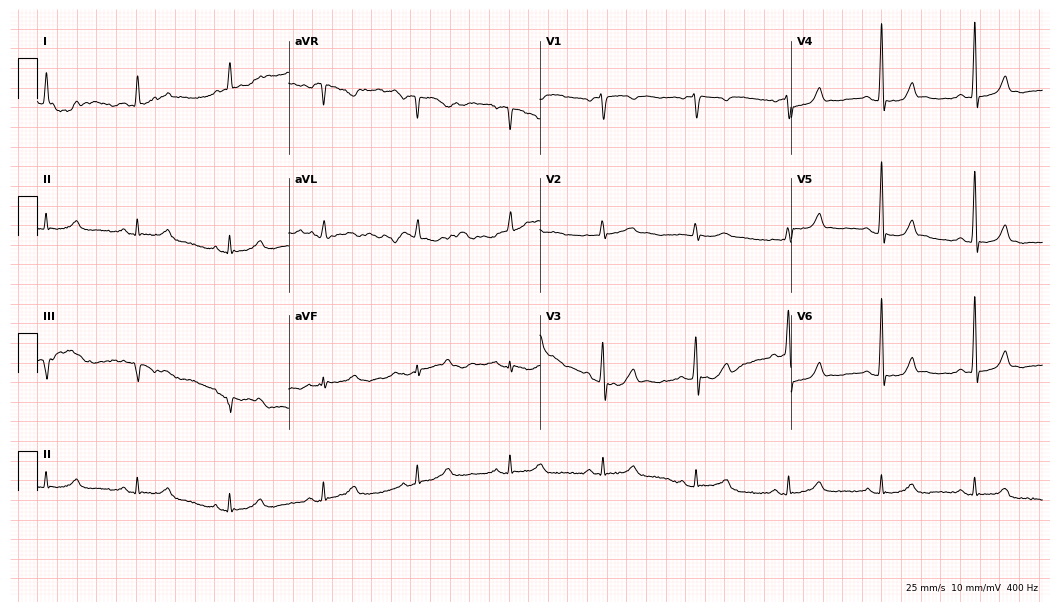
Standard 12-lead ECG recorded from a man, 63 years old (10.2-second recording at 400 Hz). Read as a normal ECG.